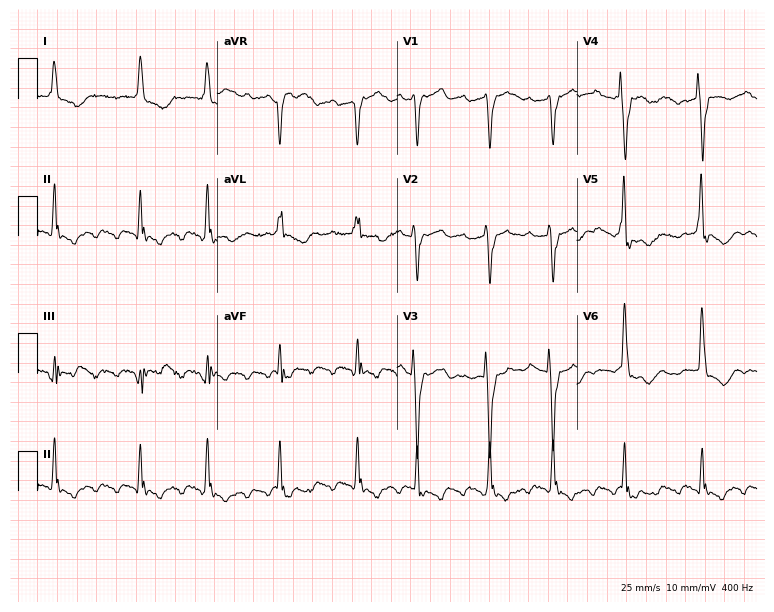
Electrocardiogram (7.3-second recording at 400 Hz), a female patient, 79 years old. Interpretation includes atrial fibrillation (AF).